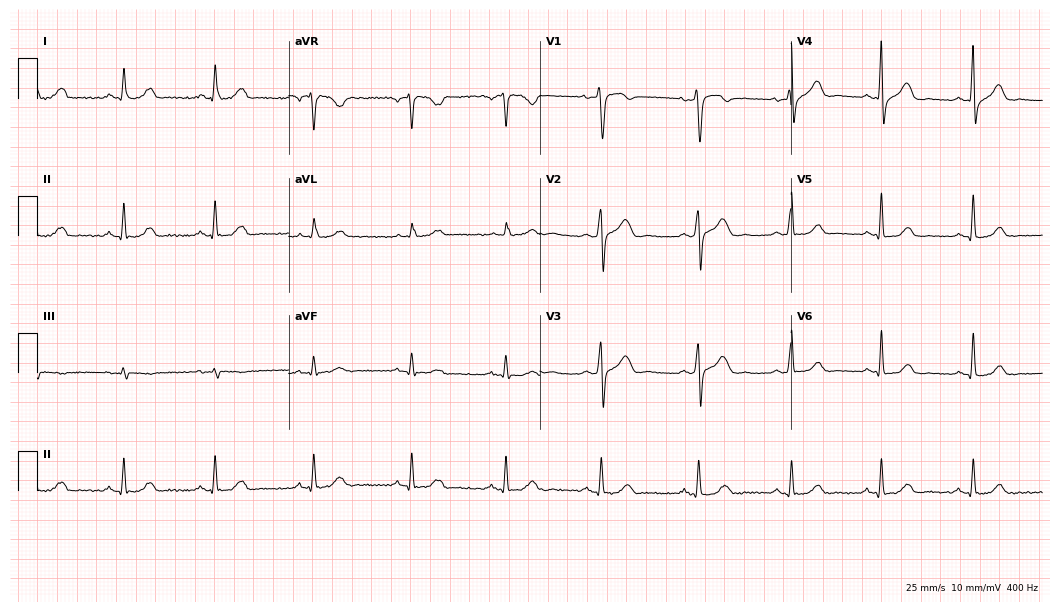
Electrocardiogram (10.2-second recording at 400 Hz), a 53-year-old man. Overall reading on record: normal ECG.